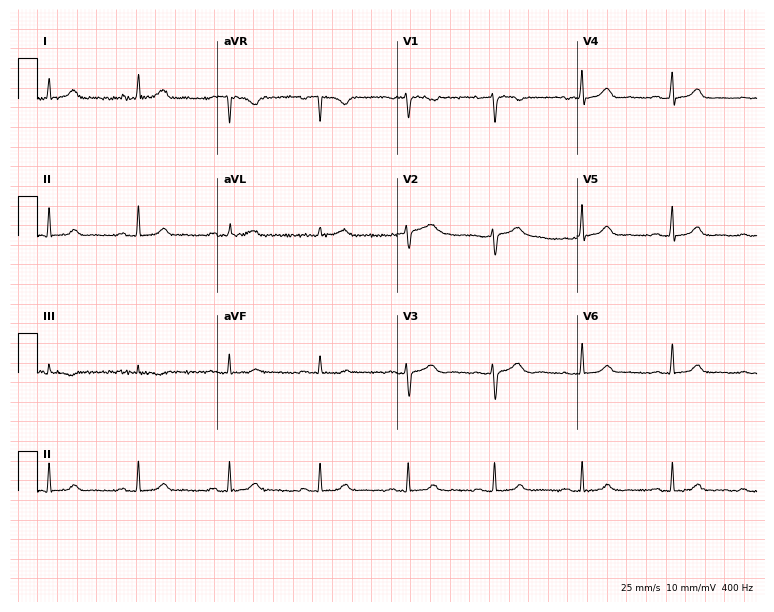
Resting 12-lead electrocardiogram. Patient: a 55-year-old female. Read as a normal ECG.